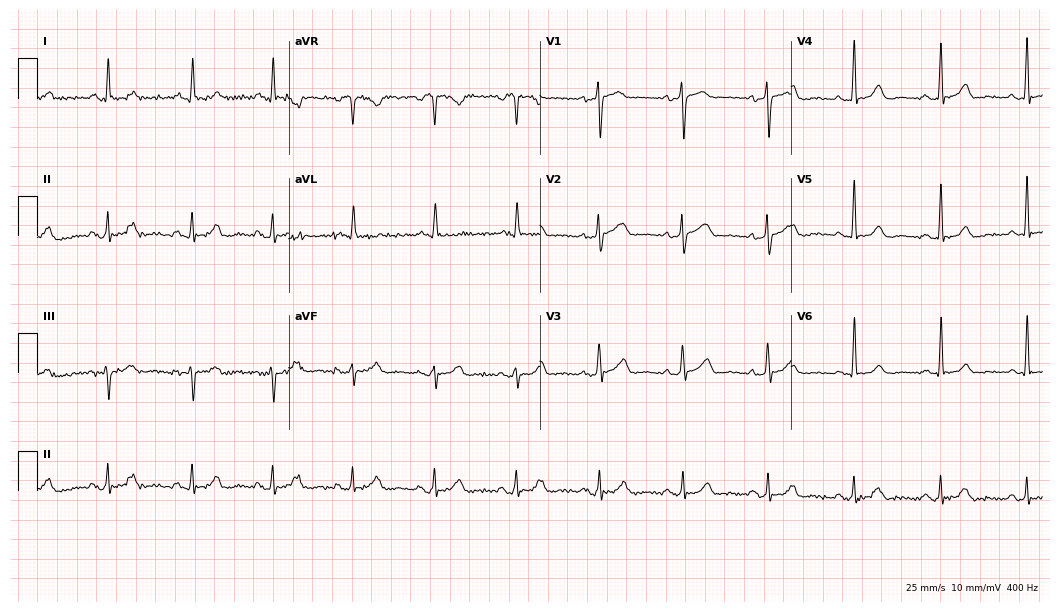
Electrocardiogram, a woman, 75 years old. Of the six screened findings (first-degree AV block, right bundle branch block (RBBB), left bundle branch block (LBBB), sinus bradycardia, atrial fibrillation (AF), sinus tachycardia), none is recorded.